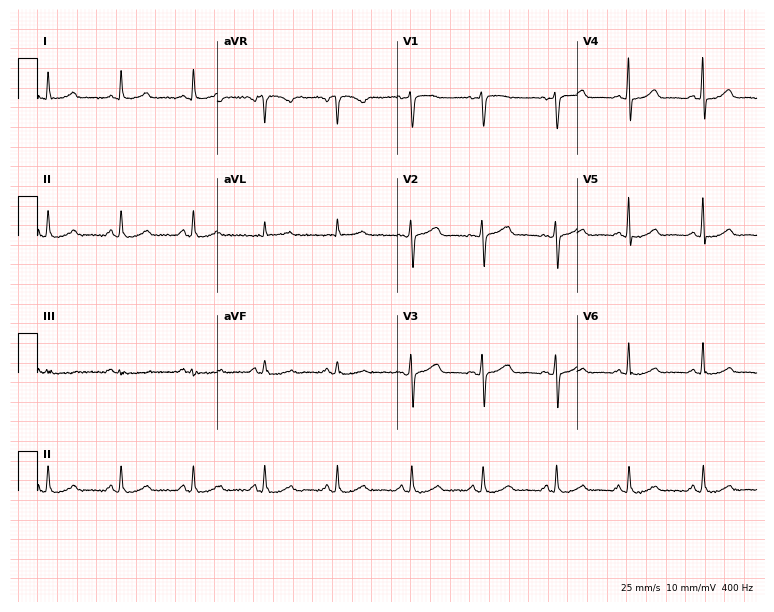
Electrocardiogram (7.3-second recording at 400 Hz), a 52-year-old female. Overall reading on record: normal ECG.